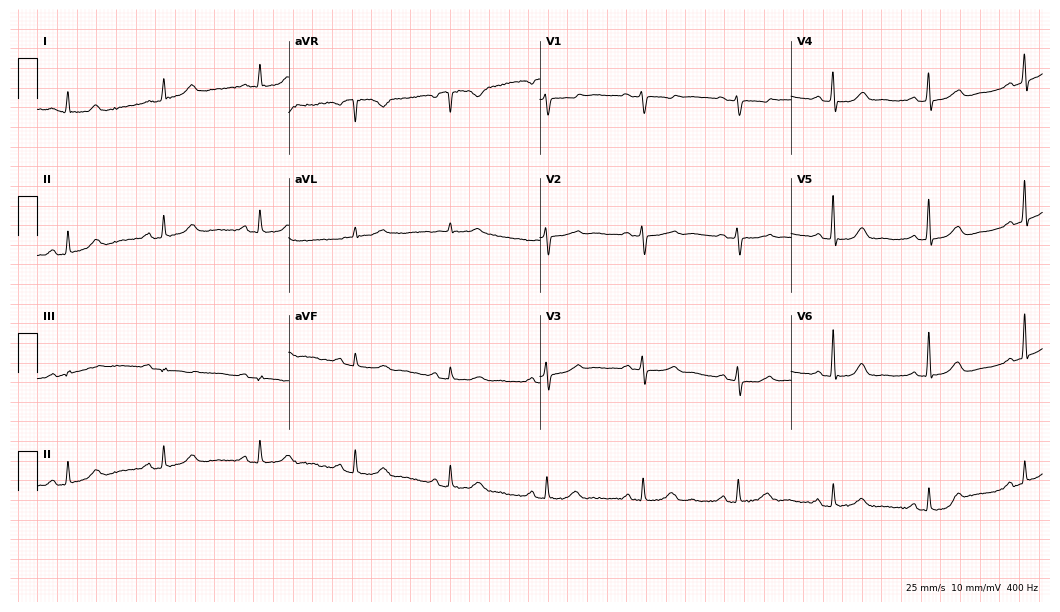
Electrocardiogram (10.2-second recording at 400 Hz), a female patient, 68 years old. Overall reading on record: normal ECG.